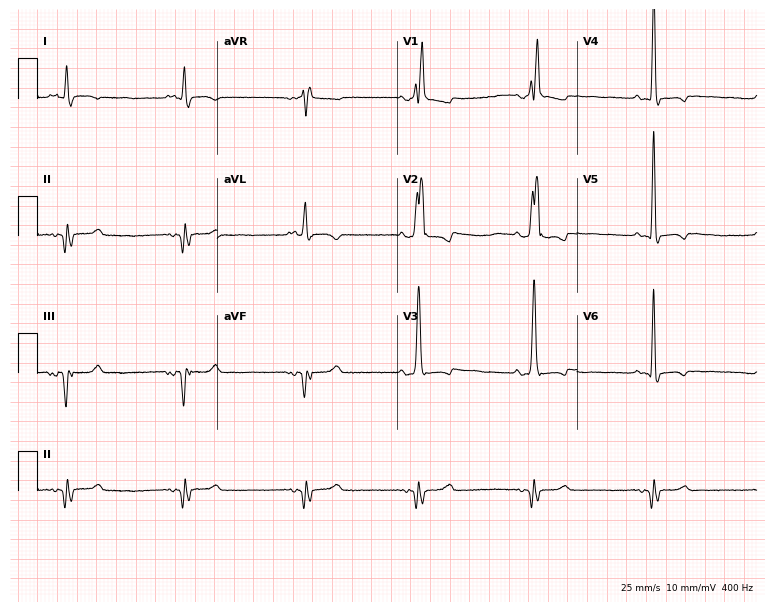
Resting 12-lead electrocardiogram. Patient: a 74-year-old male. The tracing shows right bundle branch block (RBBB).